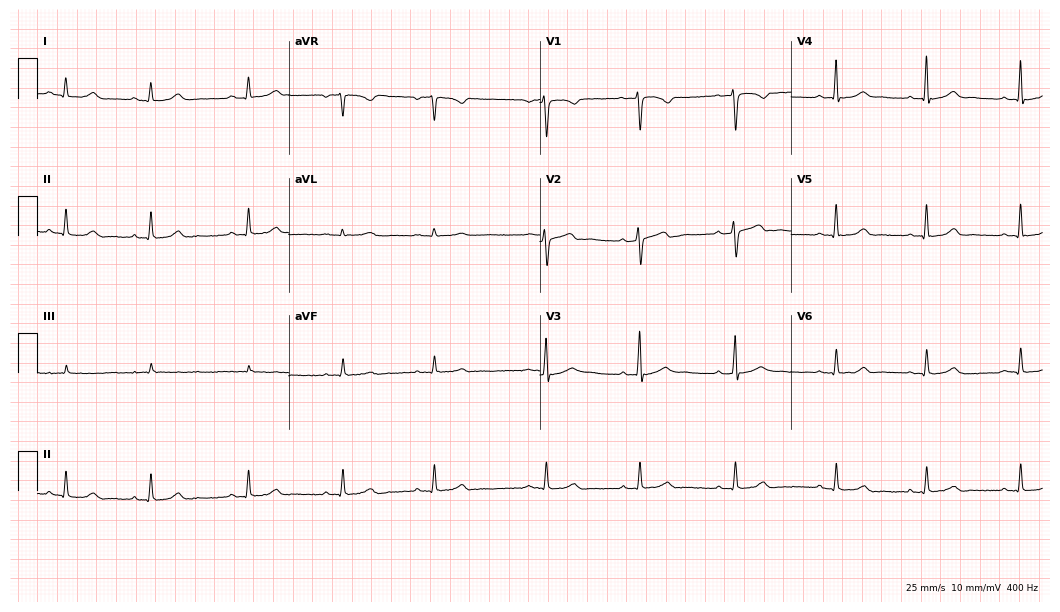
ECG (10.2-second recording at 400 Hz) — a female patient, 29 years old. Labelled as a normal ECG.